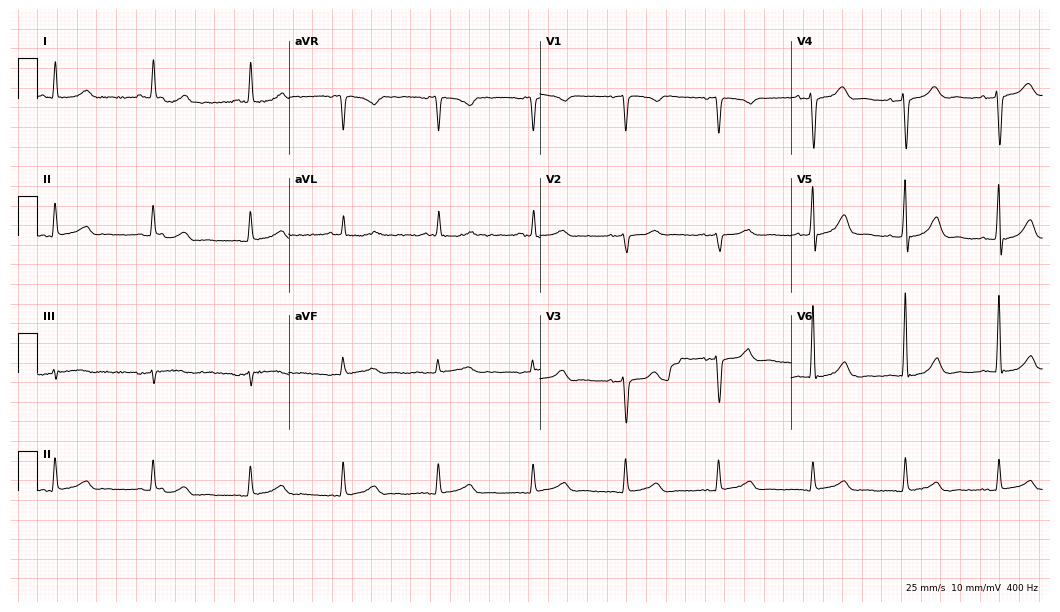
Resting 12-lead electrocardiogram. Patient: a female, 57 years old. Read as a normal ECG.